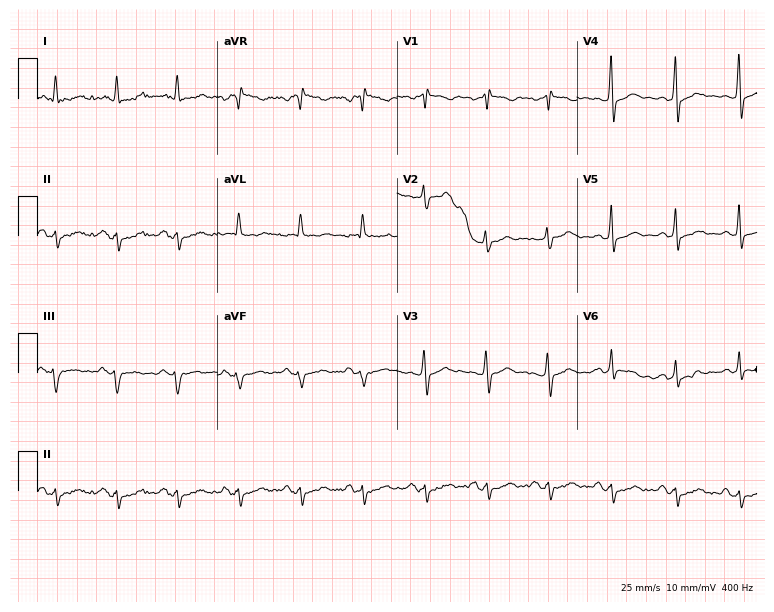
12-lead ECG from a male, 60 years old. No first-degree AV block, right bundle branch block, left bundle branch block, sinus bradycardia, atrial fibrillation or sinus tachycardia recorded for this tracing.